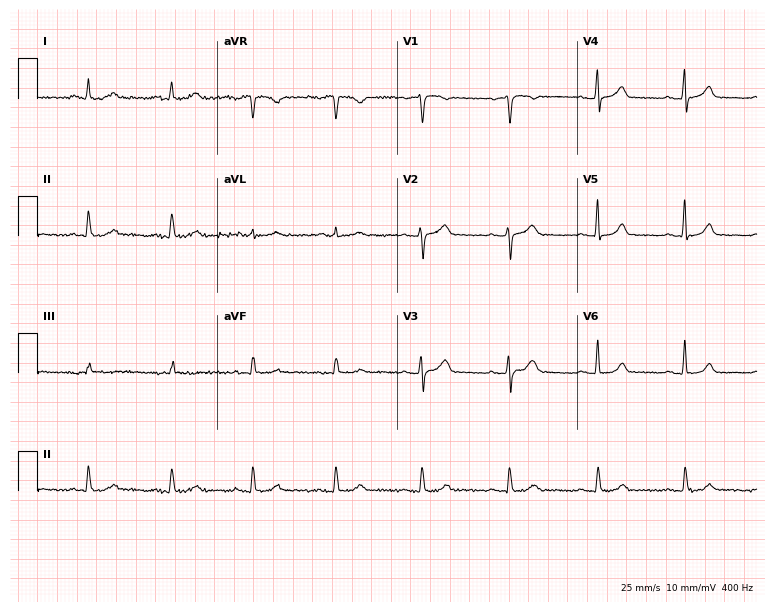
Resting 12-lead electrocardiogram. Patient: a 65-year-old female. None of these six findings is recorded: first-degree AV block, right bundle branch block, left bundle branch block, sinus bradycardia, atrial fibrillation, sinus tachycardia.